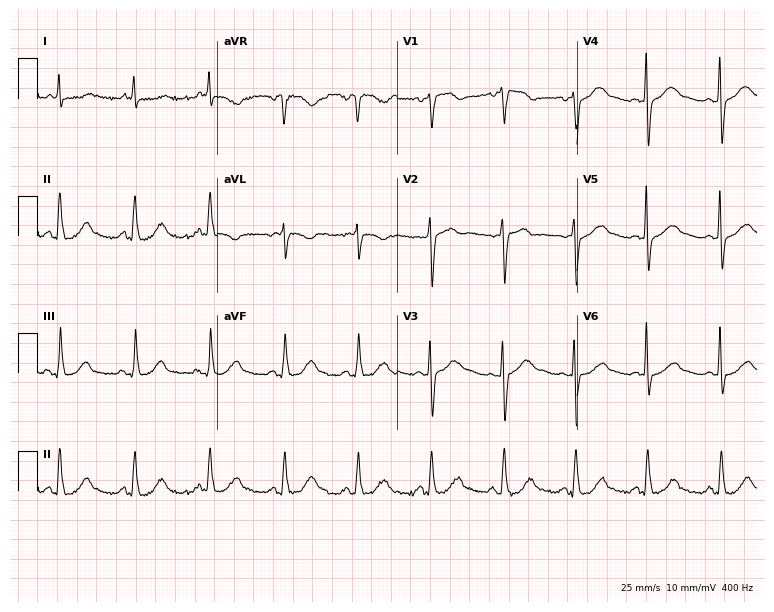
12-lead ECG from a female patient, 62 years old. Screened for six findings — first-degree AV block, right bundle branch block (RBBB), left bundle branch block (LBBB), sinus bradycardia, atrial fibrillation (AF), sinus tachycardia — none is recorded. Other findings, if any, are not listed.